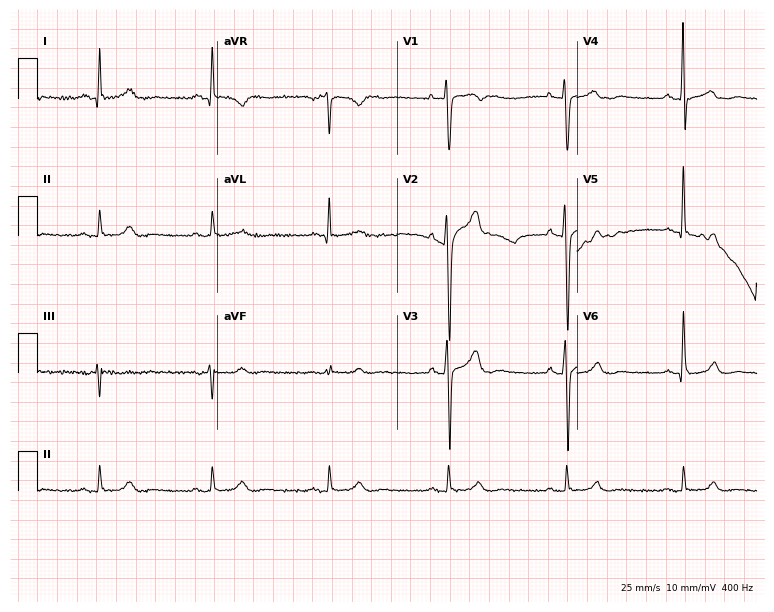
Standard 12-lead ECG recorded from a 50-year-old male (7.3-second recording at 400 Hz). None of these six findings is recorded: first-degree AV block, right bundle branch block (RBBB), left bundle branch block (LBBB), sinus bradycardia, atrial fibrillation (AF), sinus tachycardia. Findings outside these six are not listed.